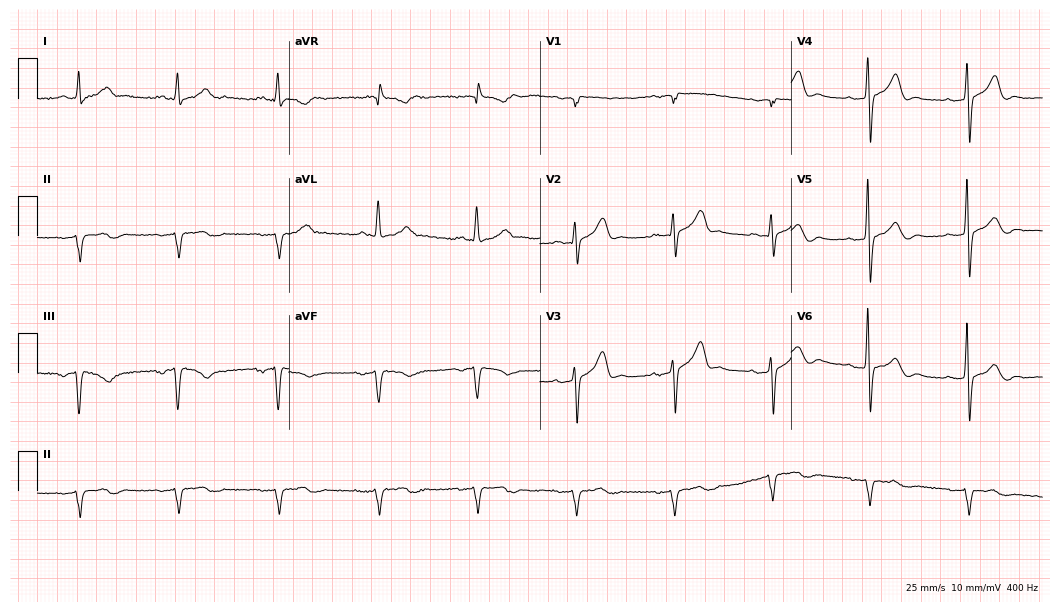
12-lead ECG from a 60-year-old male (10.2-second recording at 400 Hz). No first-degree AV block, right bundle branch block, left bundle branch block, sinus bradycardia, atrial fibrillation or sinus tachycardia recorded for this tracing.